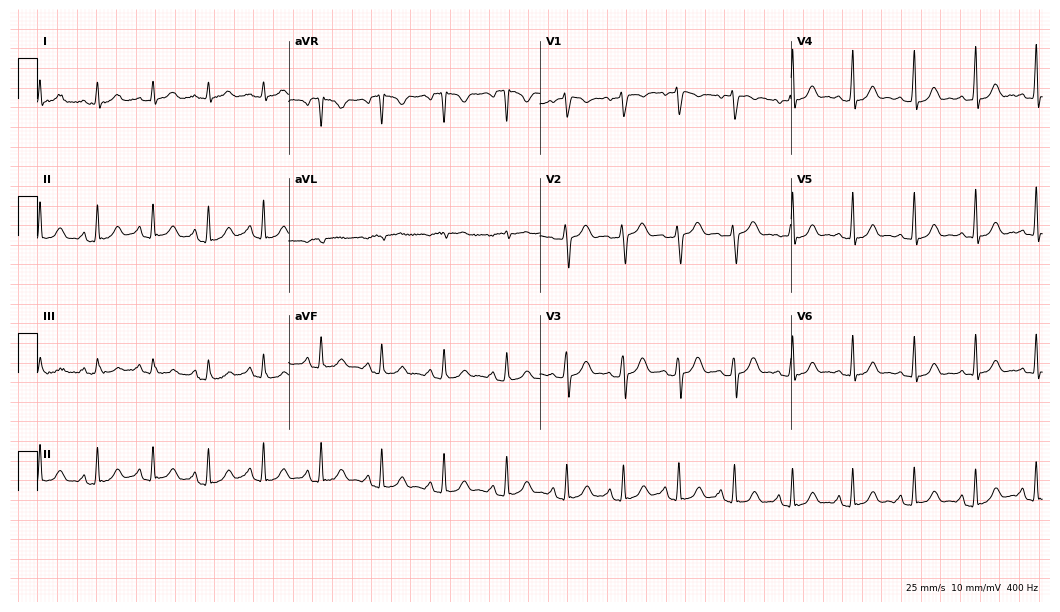
Resting 12-lead electrocardiogram (10.2-second recording at 400 Hz). Patient: a 27-year-old female. The tracing shows sinus tachycardia (a sinus rate of 100 beats per minute or more).